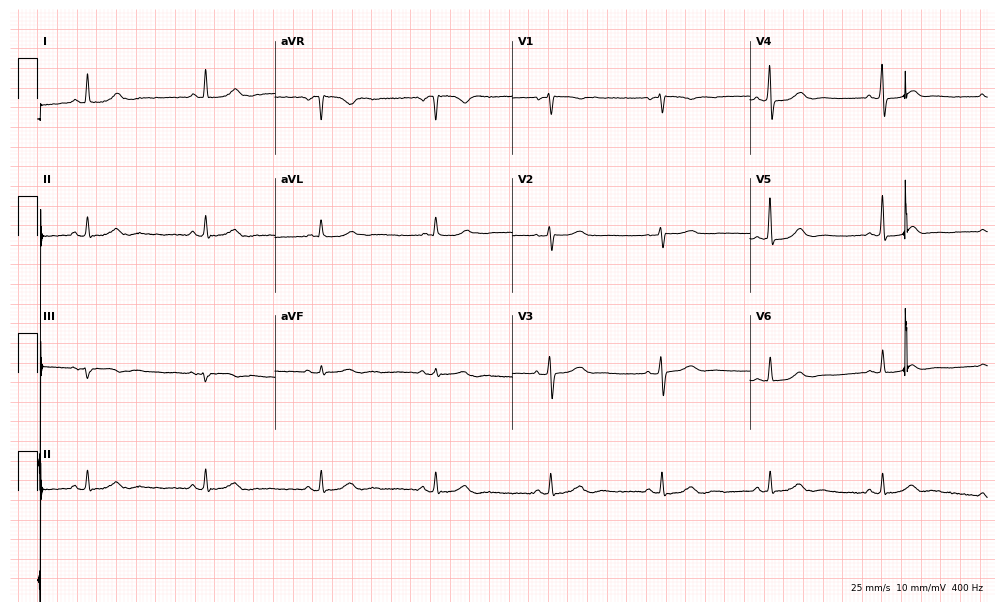
Electrocardiogram, a female, 61 years old. Of the six screened findings (first-degree AV block, right bundle branch block, left bundle branch block, sinus bradycardia, atrial fibrillation, sinus tachycardia), none is recorded.